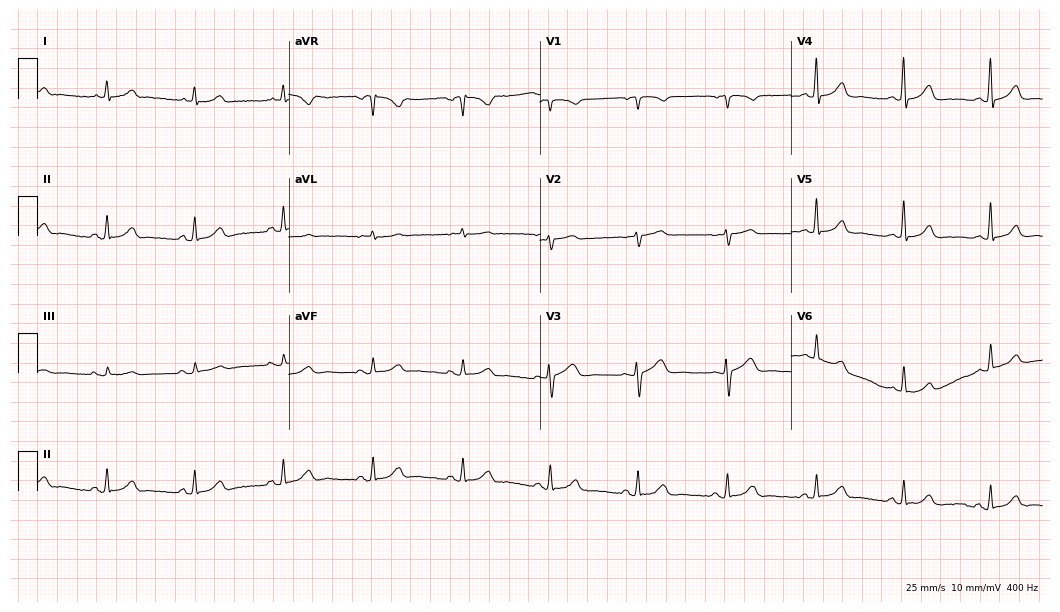
12-lead ECG (10.2-second recording at 400 Hz) from a female, 46 years old. Labelled as a normal ECG.